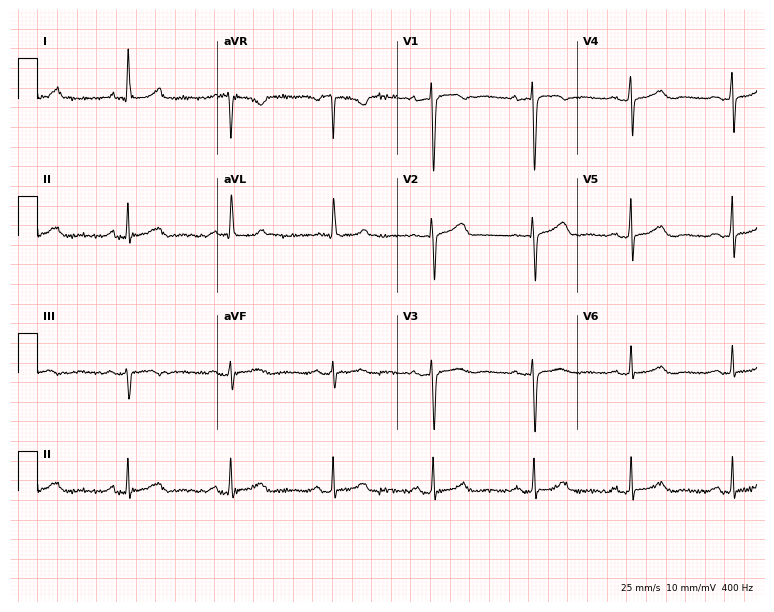
Electrocardiogram (7.3-second recording at 400 Hz), a female patient, 81 years old. Overall reading on record: normal ECG.